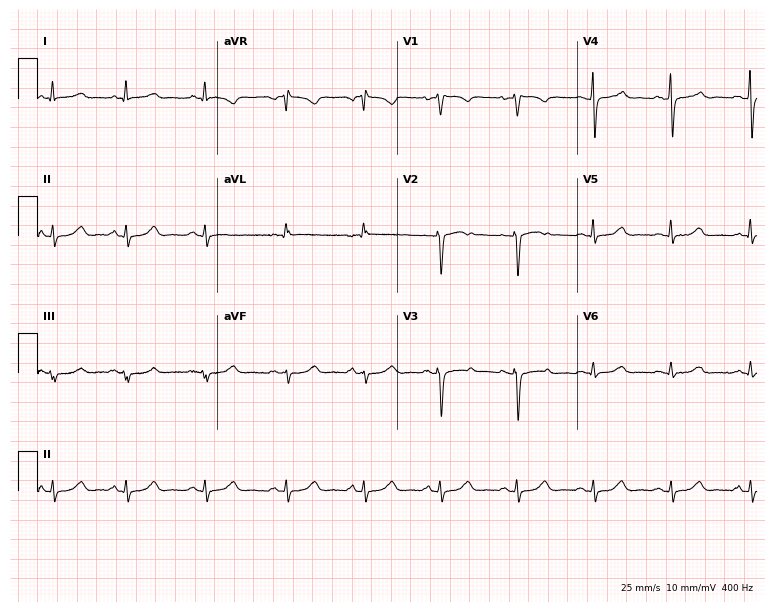
Standard 12-lead ECG recorded from a woman, 51 years old. None of these six findings is recorded: first-degree AV block, right bundle branch block, left bundle branch block, sinus bradycardia, atrial fibrillation, sinus tachycardia. Other findings, if any, are not listed.